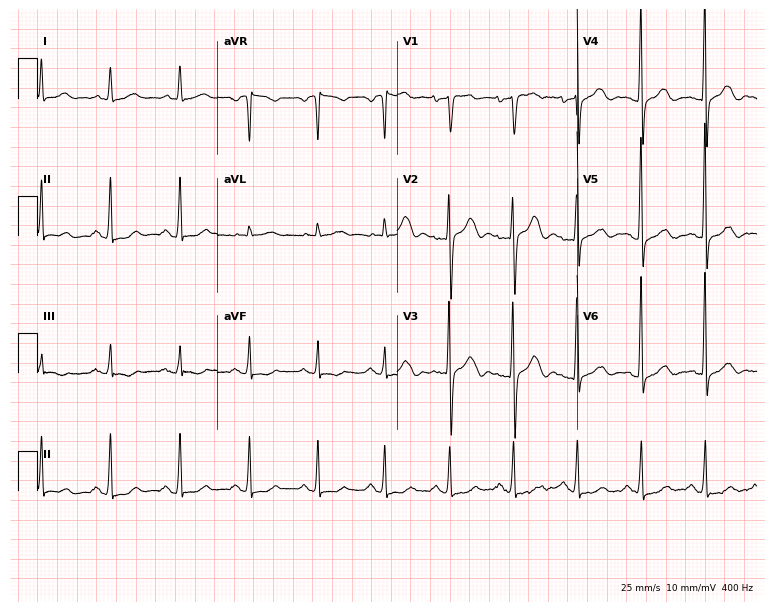
12-lead ECG (7.3-second recording at 400 Hz) from a man, 61 years old. Screened for six findings — first-degree AV block, right bundle branch block (RBBB), left bundle branch block (LBBB), sinus bradycardia, atrial fibrillation (AF), sinus tachycardia — none is recorded.